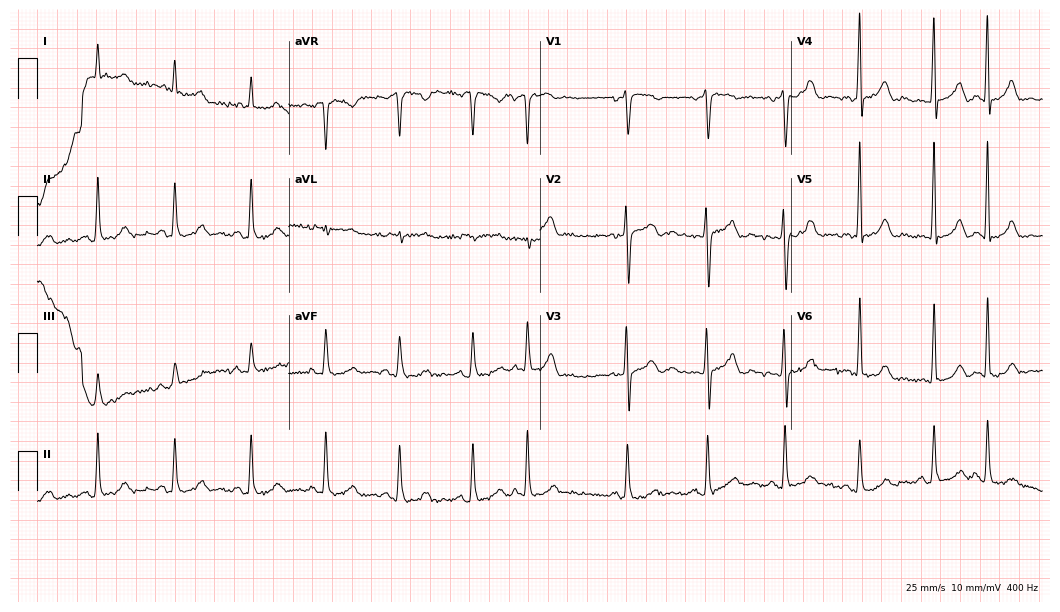
12-lead ECG from a man, 69 years old. No first-degree AV block, right bundle branch block, left bundle branch block, sinus bradycardia, atrial fibrillation or sinus tachycardia recorded for this tracing. Findings outside these six are not listed.